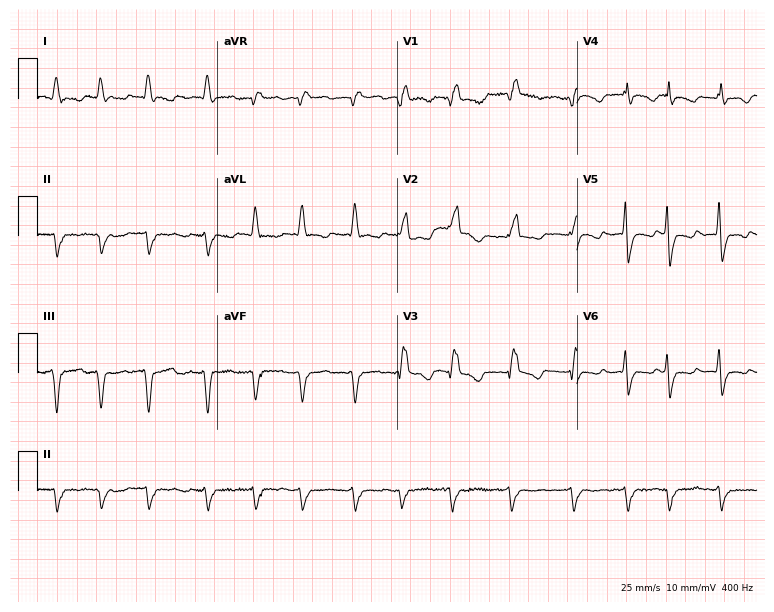
Standard 12-lead ECG recorded from a 76-year-old woman. The tracing shows right bundle branch block, atrial fibrillation.